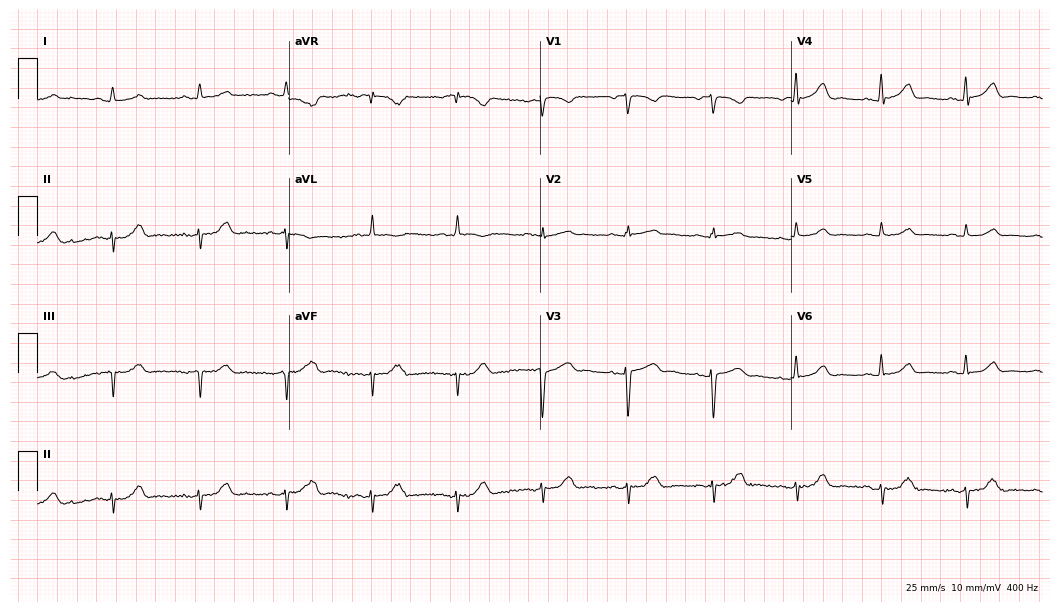
Standard 12-lead ECG recorded from an 80-year-old female (10.2-second recording at 400 Hz). None of these six findings is recorded: first-degree AV block, right bundle branch block (RBBB), left bundle branch block (LBBB), sinus bradycardia, atrial fibrillation (AF), sinus tachycardia.